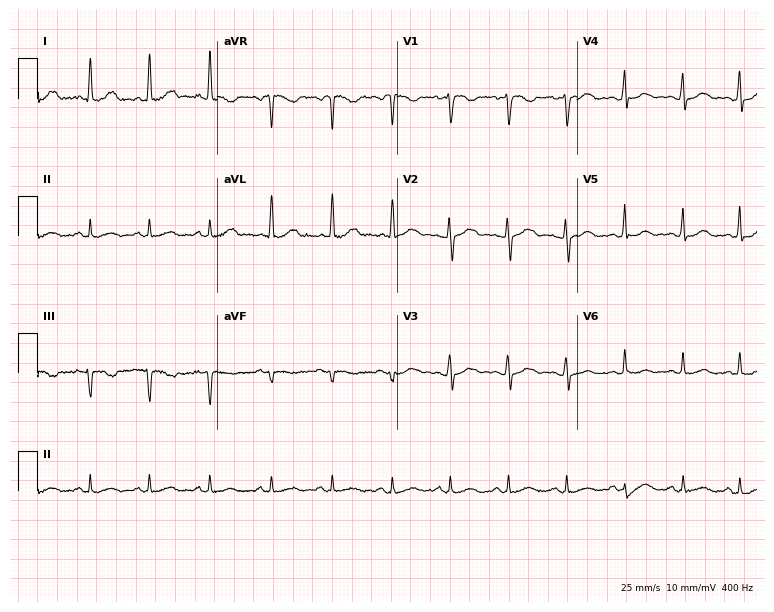
Electrocardiogram, a 34-year-old woman. Overall reading on record: normal ECG.